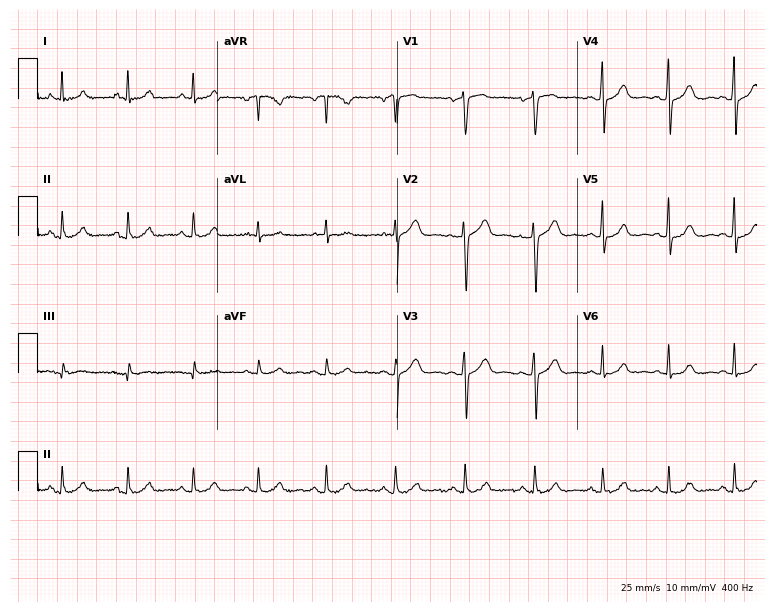
Resting 12-lead electrocardiogram (7.3-second recording at 400 Hz). Patient: a woman, 42 years old. Read as a normal ECG.